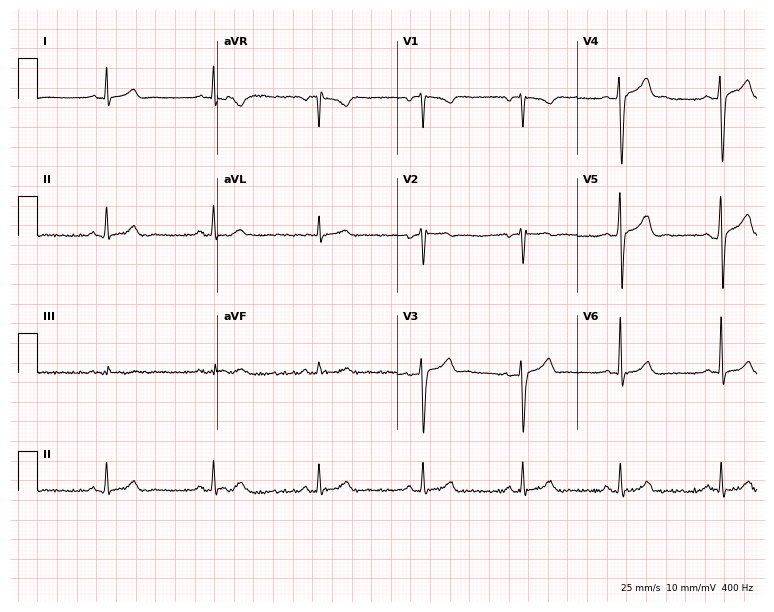
Standard 12-lead ECG recorded from a 32-year-old male (7.3-second recording at 400 Hz). Read as a normal ECG.